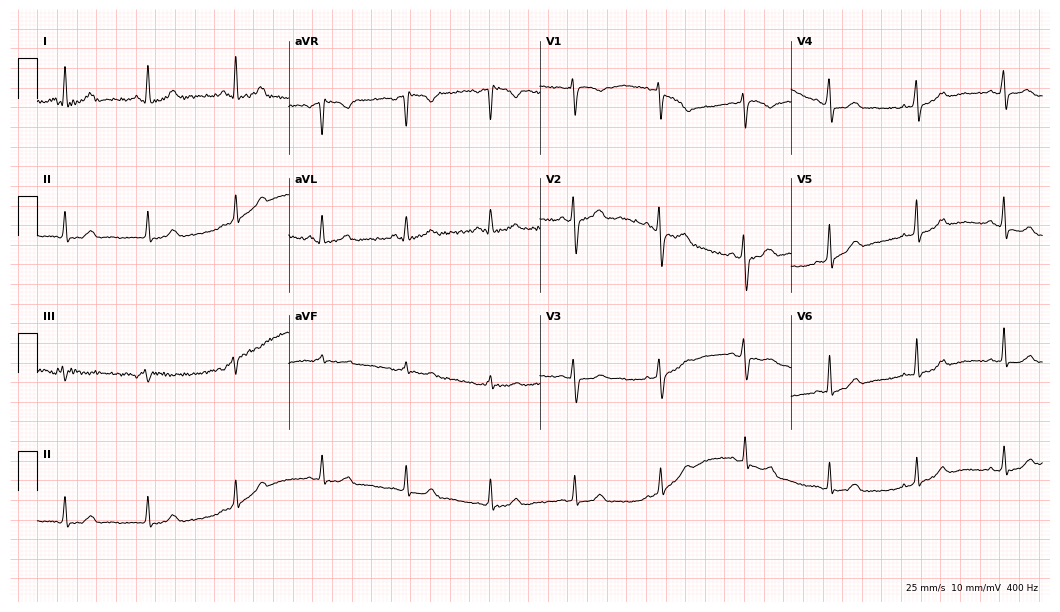
Standard 12-lead ECG recorded from a 40-year-old female. Read as a normal ECG.